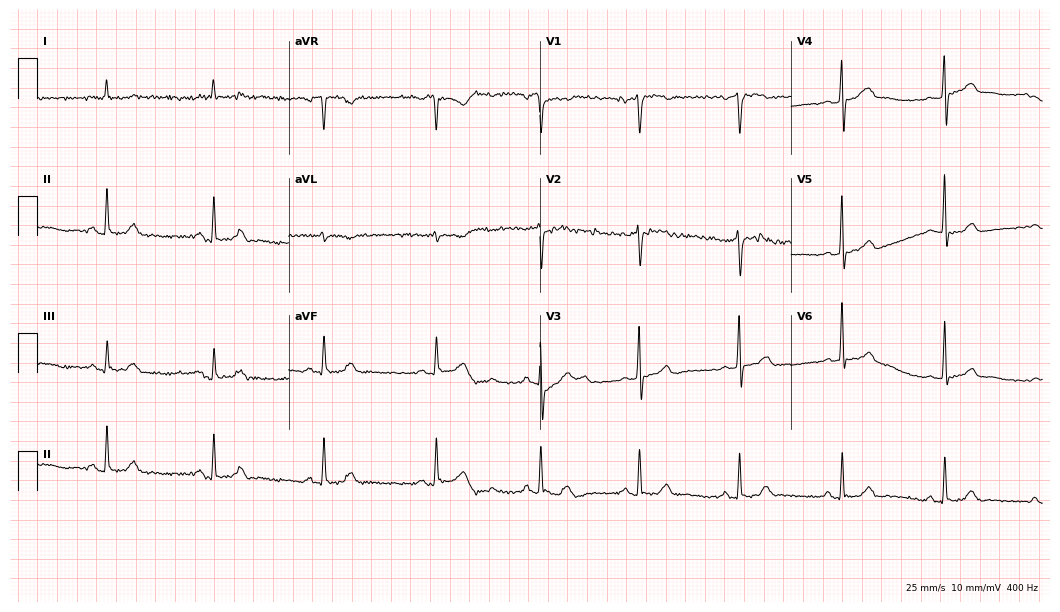
Resting 12-lead electrocardiogram (10.2-second recording at 400 Hz). Patient: a 59-year-old man. None of these six findings is recorded: first-degree AV block, right bundle branch block, left bundle branch block, sinus bradycardia, atrial fibrillation, sinus tachycardia. Other findings, if any, are not listed.